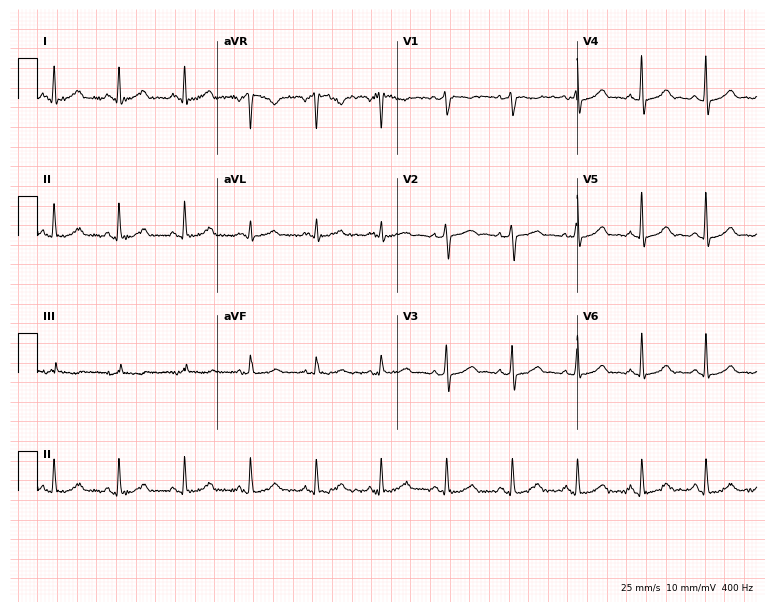
Electrocardiogram, a 57-year-old female. Overall reading on record: normal ECG.